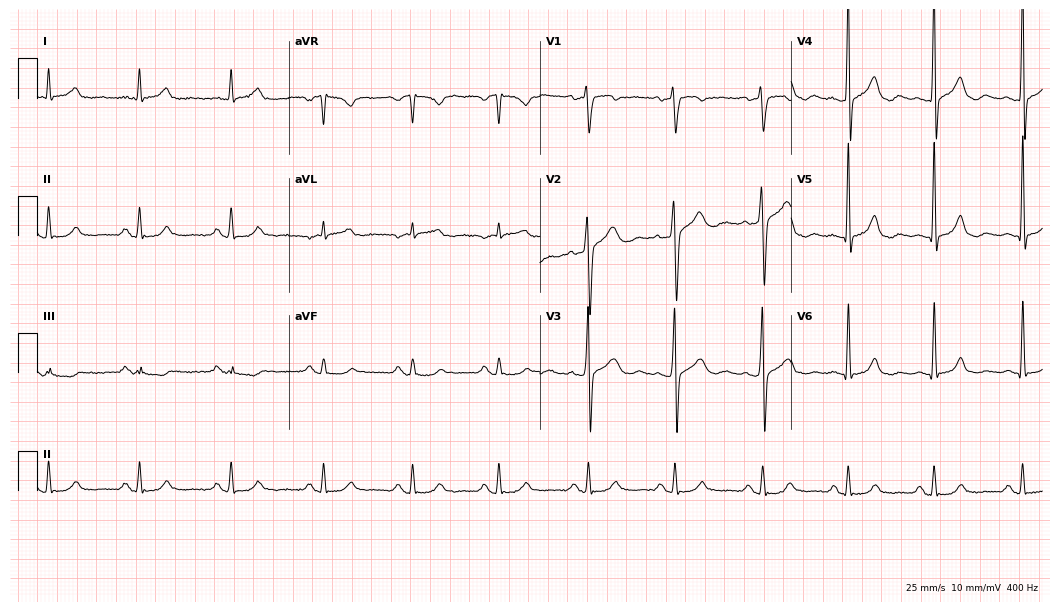
12-lead ECG from a 54-year-old male patient. Recorded interpretation: within normal limits.